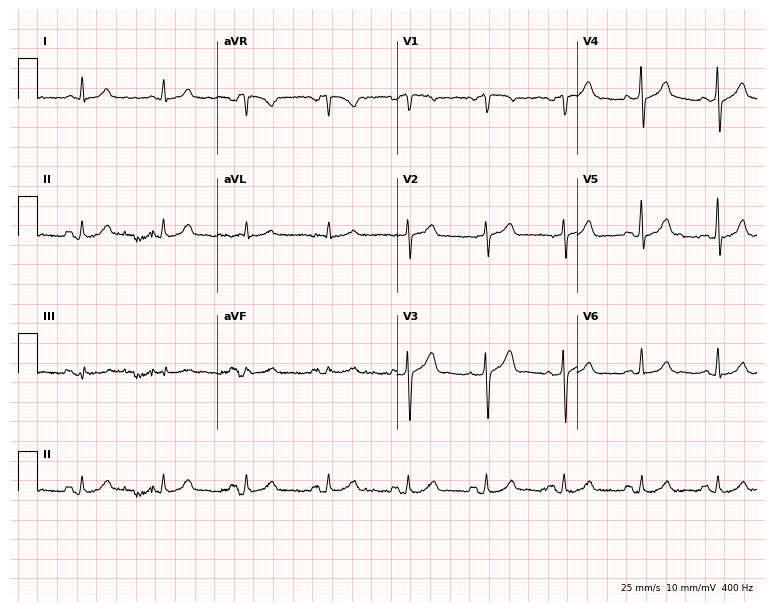
12-lead ECG from a 53-year-old male. Recorded interpretation: within normal limits.